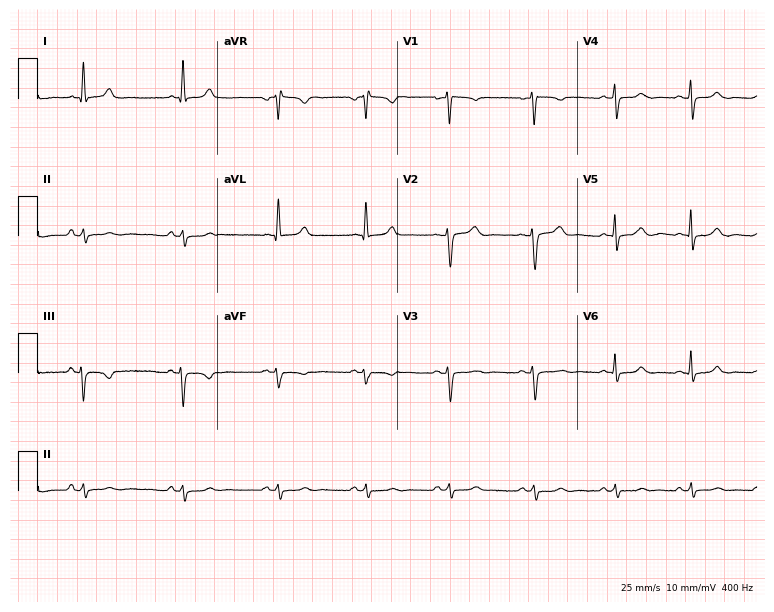
12-lead ECG from a 43-year-old female patient. No first-degree AV block, right bundle branch block (RBBB), left bundle branch block (LBBB), sinus bradycardia, atrial fibrillation (AF) or sinus tachycardia recorded for this tracing.